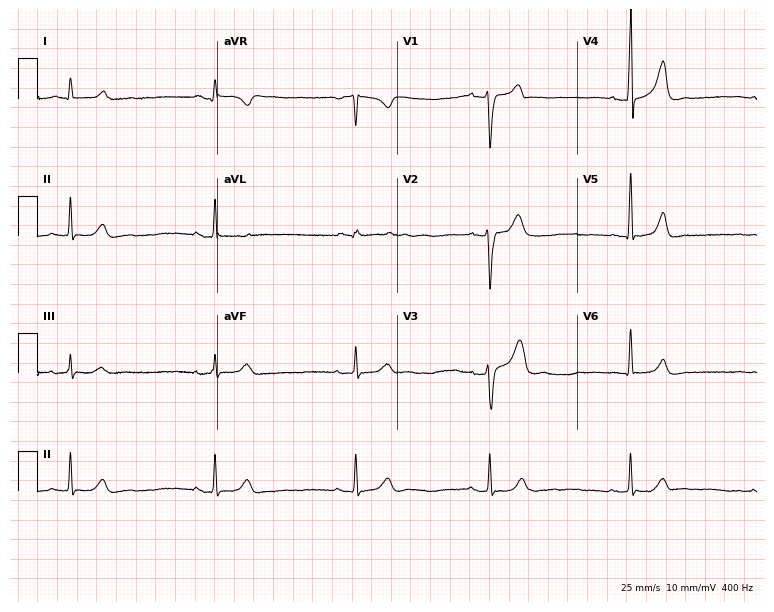
ECG — a 45-year-old male patient. Findings include sinus bradycardia (a sinus rate of 50 beats per minute or less).